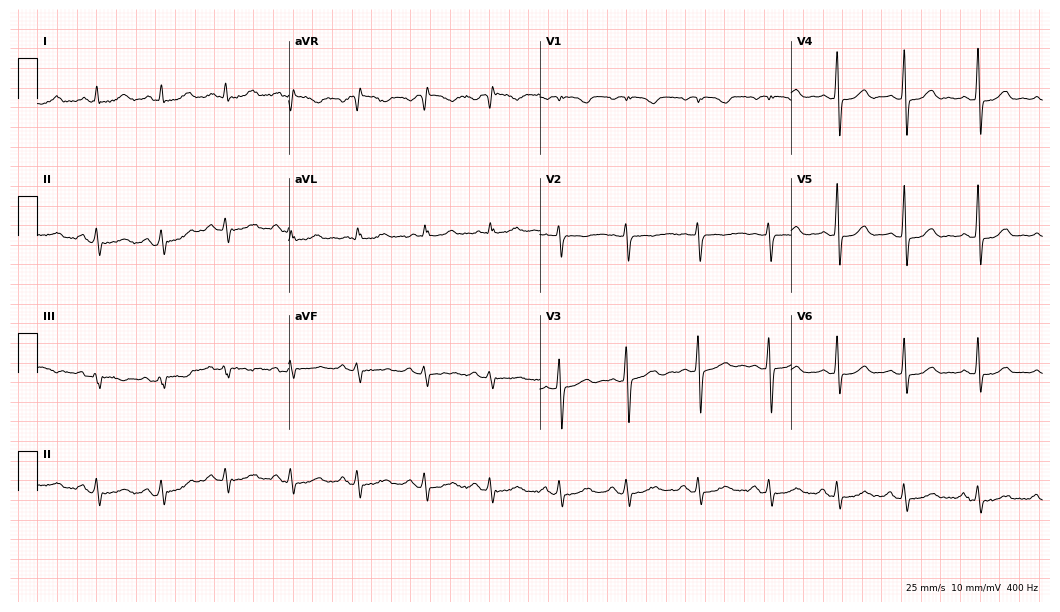
Resting 12-lead electrocardiogram. Patient: a 79-year-old woman. Read as a normal ECG.